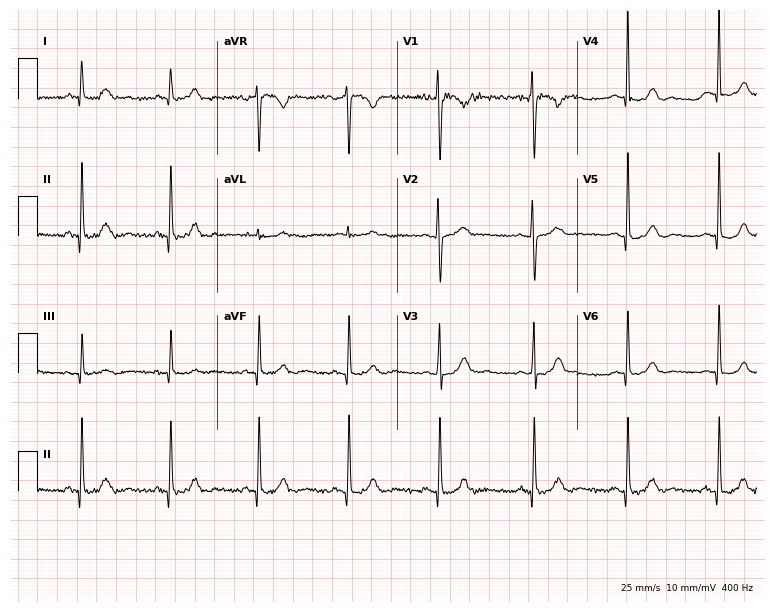
12-lead ECG from a 46-year-old female patient. Screened for six findings — first-degree AV block, right bundle branch block (RBBB), left bundle branch block (LBBB), sinus bradycardia, atrial fibrillation (AF), sinus tachycardia — none is recorded.